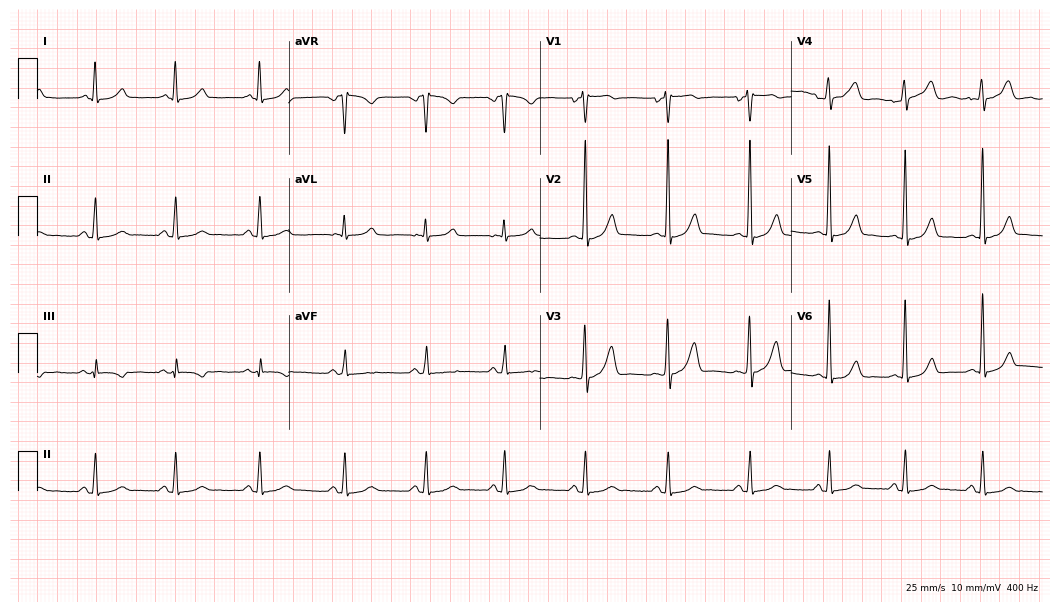
Electrocardiogram (10.2-second recording at 400 Hz), a female, 29 years old. Overall reading on record: normal ECG.